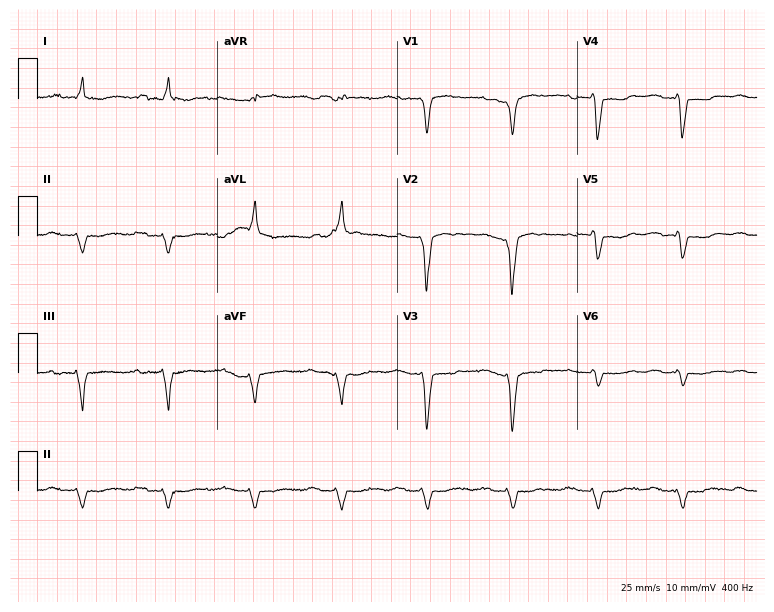
12-lead ECG (7.3-second recording at 400 Hz) from an 82-year-old male. Findings include first-degree AV block, left bundle branch block.